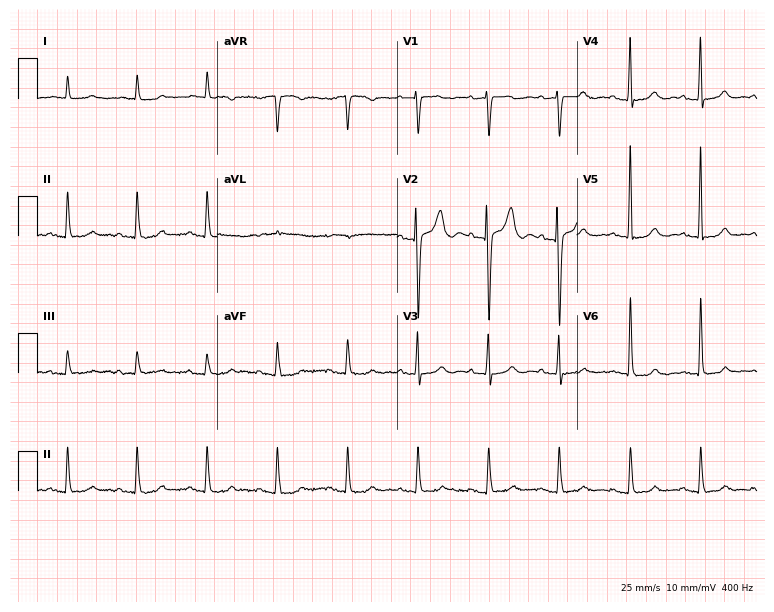
Resting 12-lead electrocardiogram. Patient: a woman, 77 years old. None of these six findings is recorded: first-degree AV block, right bundle branch block, left bundle branch block, sinus bradycardia, atrial fibrillation, sinus tachycardia.